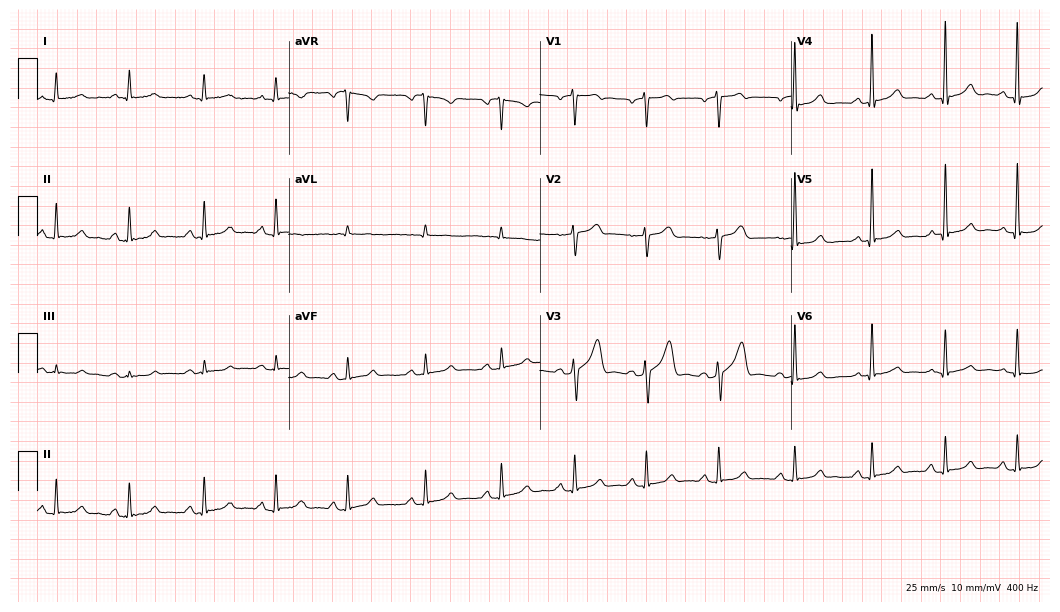
Resting 12-lead electrocardiogram. Patient: a 63-year-old man. Read as a normal ECG.